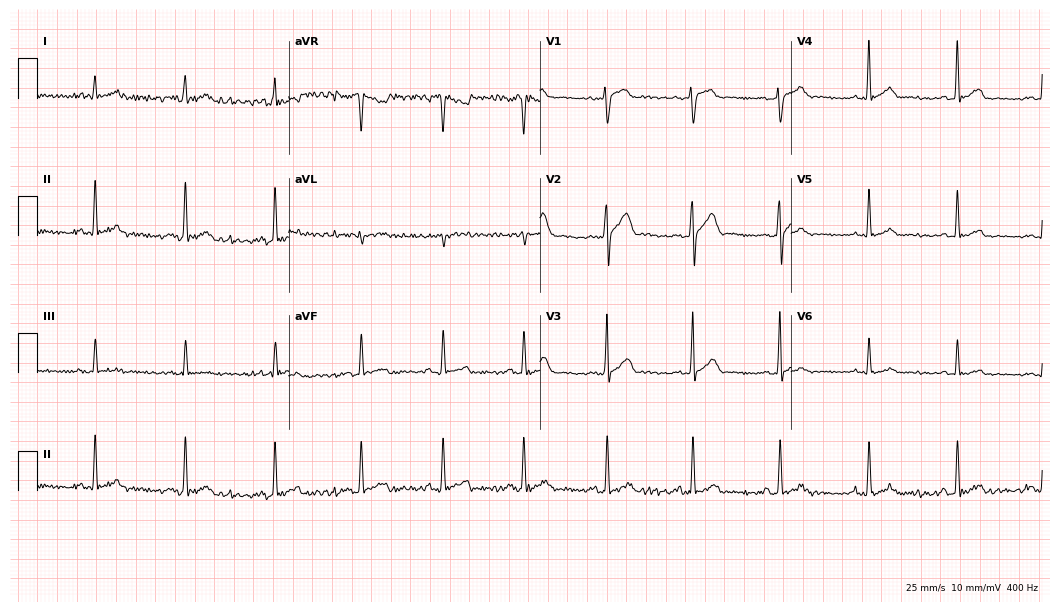
Standard 12-lead ECG recorded from a 24-year-old male patient (10.2-second recording at 400 Hz). Read as a normal ECG.